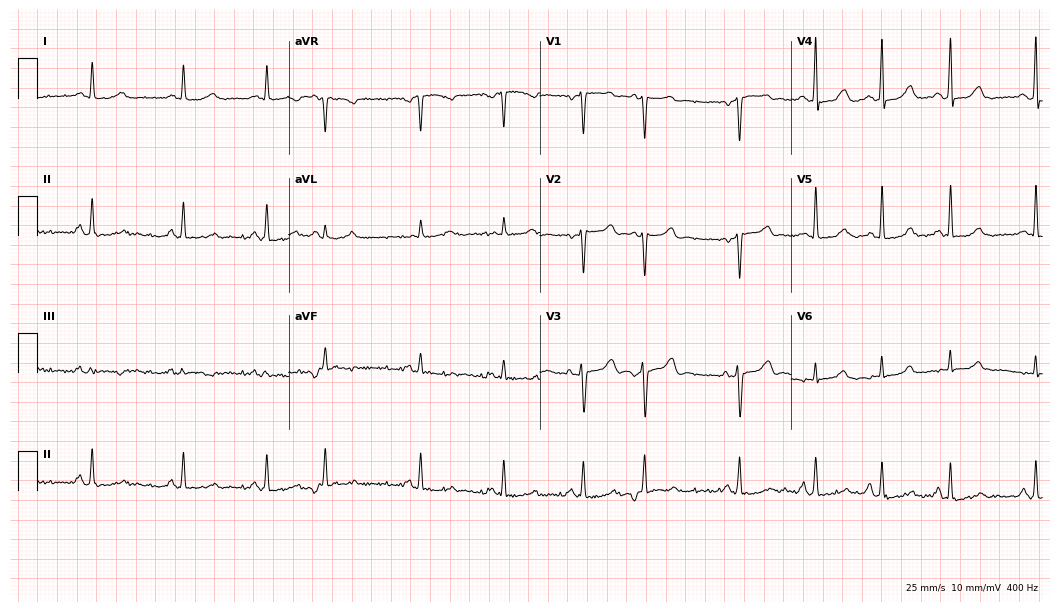
ECG (10.2-second recording at 400 Hz) — a female, 48 years old. Screened for six findings — first-degree AV block, right bundle branch block, left bundle branch block, sinus bradycardia, atrial fibrillation, sinus tachycardia — none is recorded. Only these six findings were labelled.